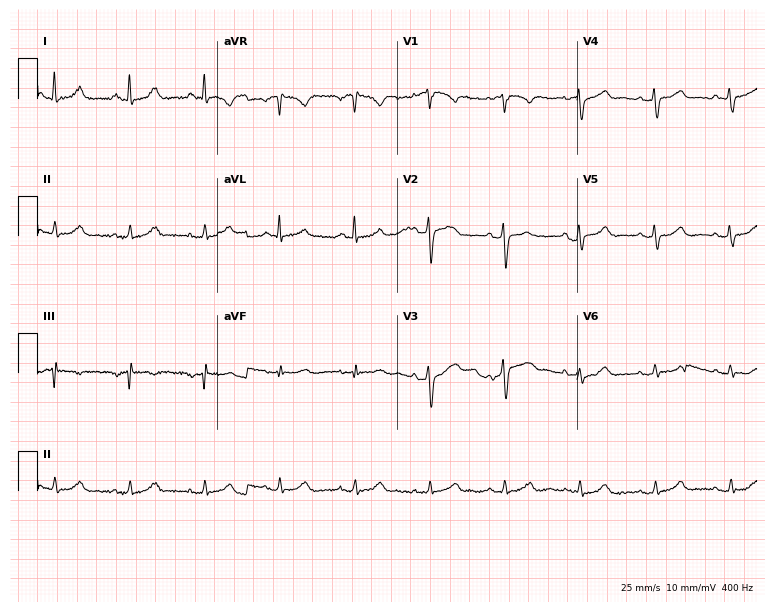
ECG — a 70-year-old man. Labelled as a normal ECG.